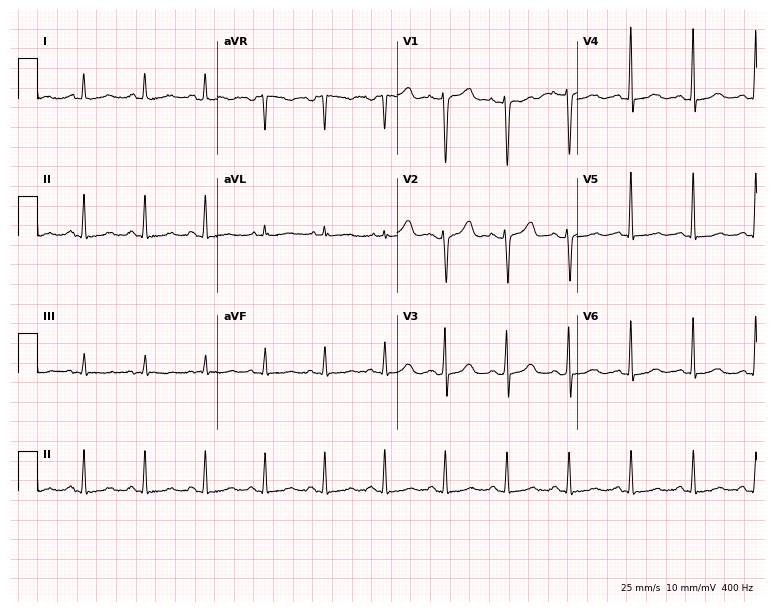
12-lead ECG from a 45-year-old woman (7.3-second recording at 400 Hz). No first-degree AV block, right bundle branch block, left bundle branch block, sinus bradycardia, atrial fibrillation or sinus tachycardia recorded for this tracing. Other findings, if any, are not listed.